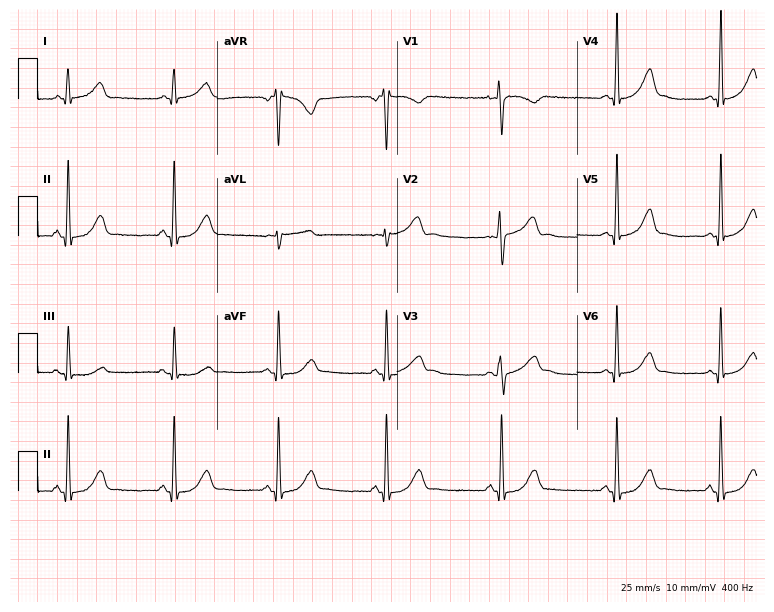
12-lead ECG from a 28-year-old female patient (7.3-second recording at 400 Hz). No first-degree AV block, right bundle branch block, left bundle branch block, sinus bradycardia, atrial fibrillation or sinus tachycardia recorded for this tracing. Other findings, if any, are not listed.